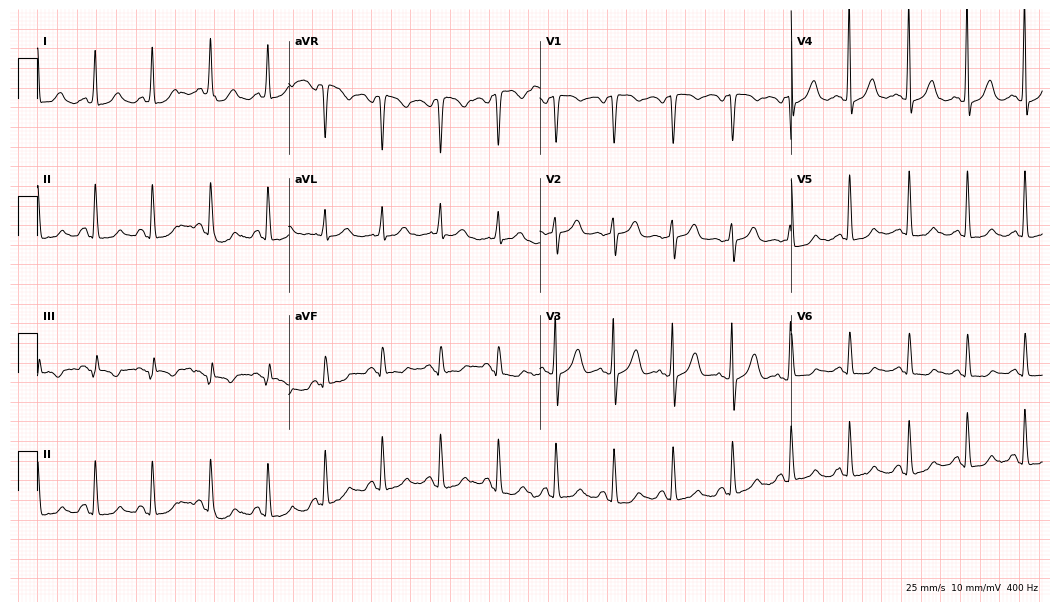
Standard 12-lead ECG recorded from a female, 60 years old (10.2-second recording at 400 Hz). The tracing shows sinus tachycardia (a sinus rate of 100 beats per minute or more).